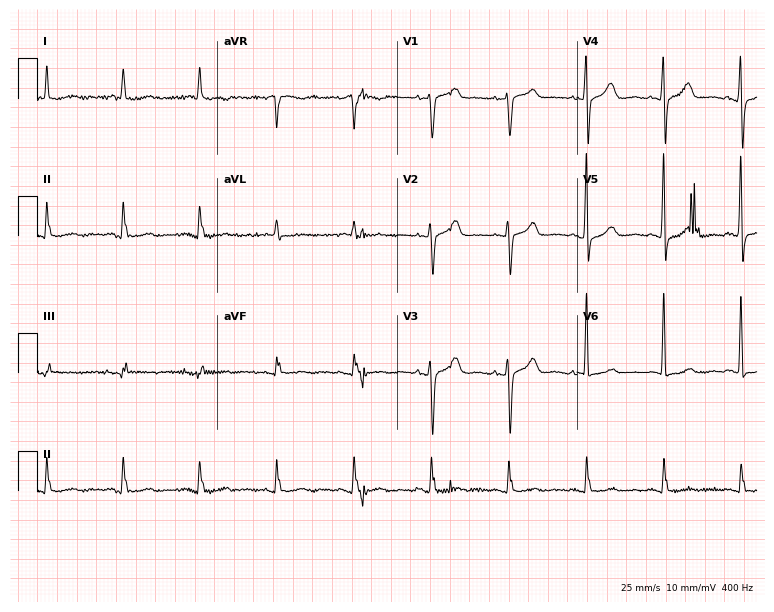
ECG (7.3-second recording at 400 Hz) — a female, 80 years old. Screened for six findings — first-degree AV block, right bundle branch block, left bundle branch block, sinus bradycardia, atrial fibrillation, sinus tachycardia — none is recorded. Other findings, if any, are not listed.